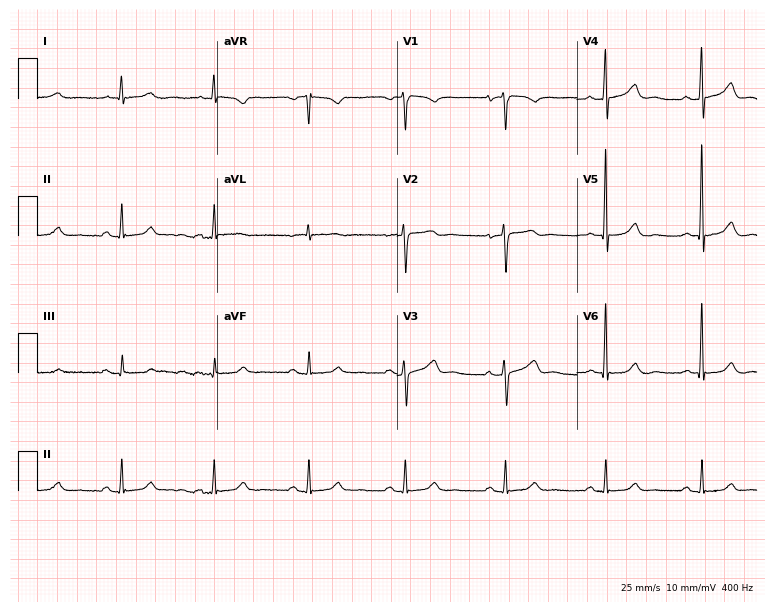
Resting 12-lead electrocardiogram (7.3-second recording at 400 Hz). Patient: a woman, 80 years old. Read as a normal ECG.